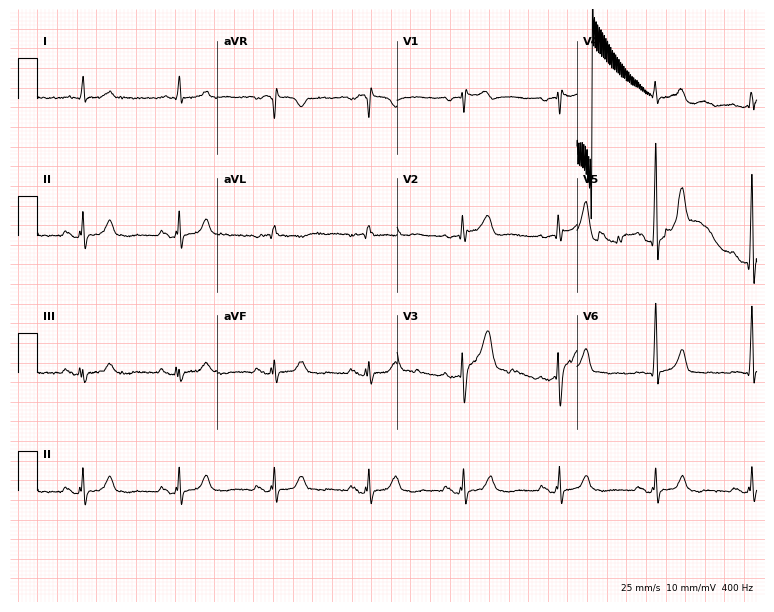
Electrocardiogram, a 74-year-old man. Of the six screened findings (first-degree AV block, right bundle branch block, left bundle branch block, sinus bradycardia, atrial fibrillation, sinus tachycardia), none is recorded. Other findings, if any, are not listed.